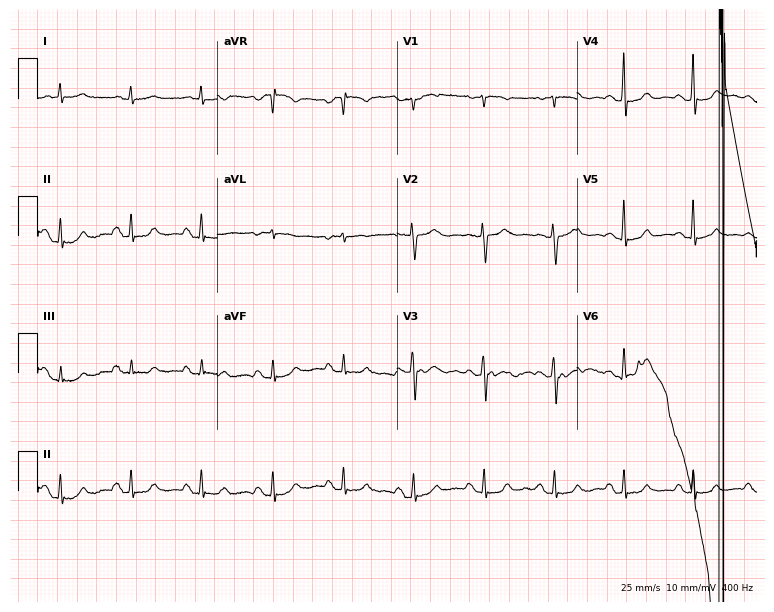
12-lead ECG from an 81-year-old female patient (7.3-second recording at 400 Hz). Recorded interpretation: within normal limits.